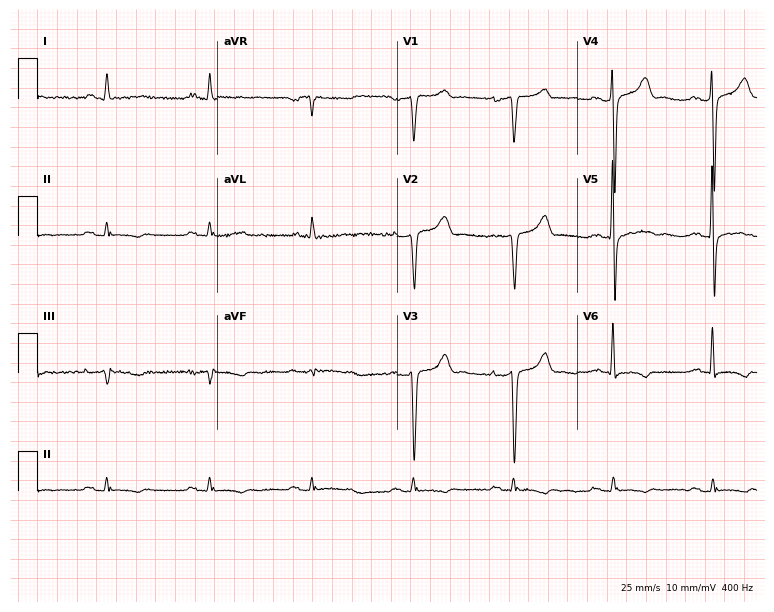
12-lead ECG from a 57-year-old man (7.3-second recording at 400 Hz). Shows first-degree AV block.